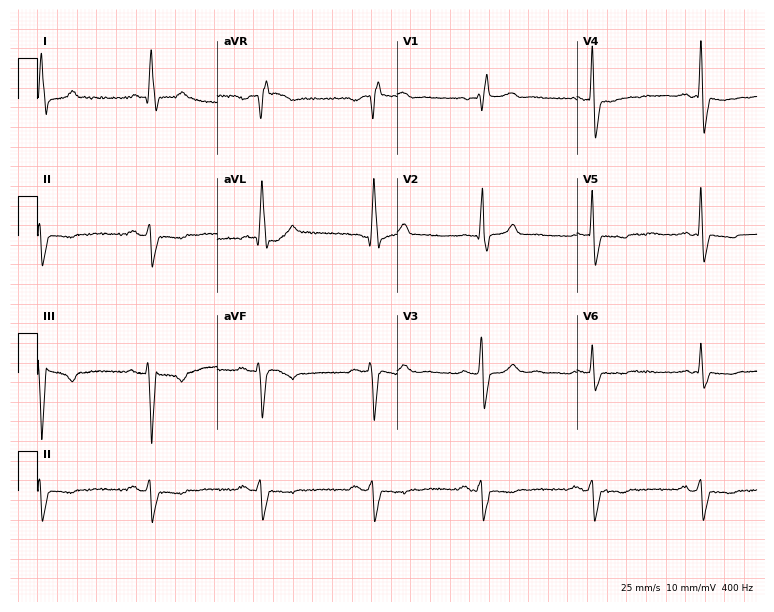
ECG — a 76-year-old man. Findings include right bundle branch block.